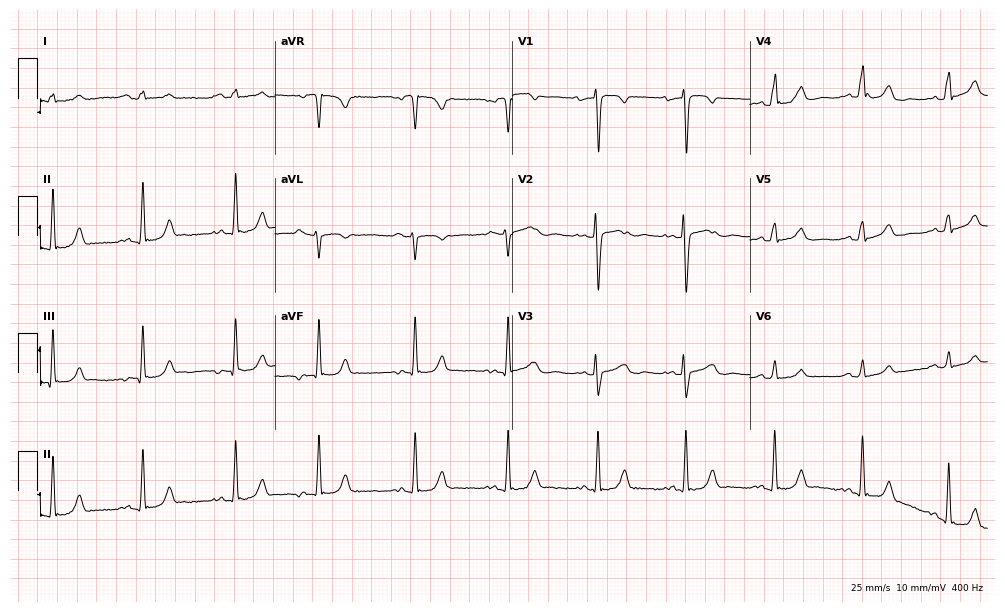
12-lead ECG from a woman, 27 years old. Screened for six findings — first-degree AV block, right bundle branch block (RBBB), left bundle branch block (LBBB), sinus bradycardia, atrial fibrillation (AF), sinus tachycardia — none is recorded.